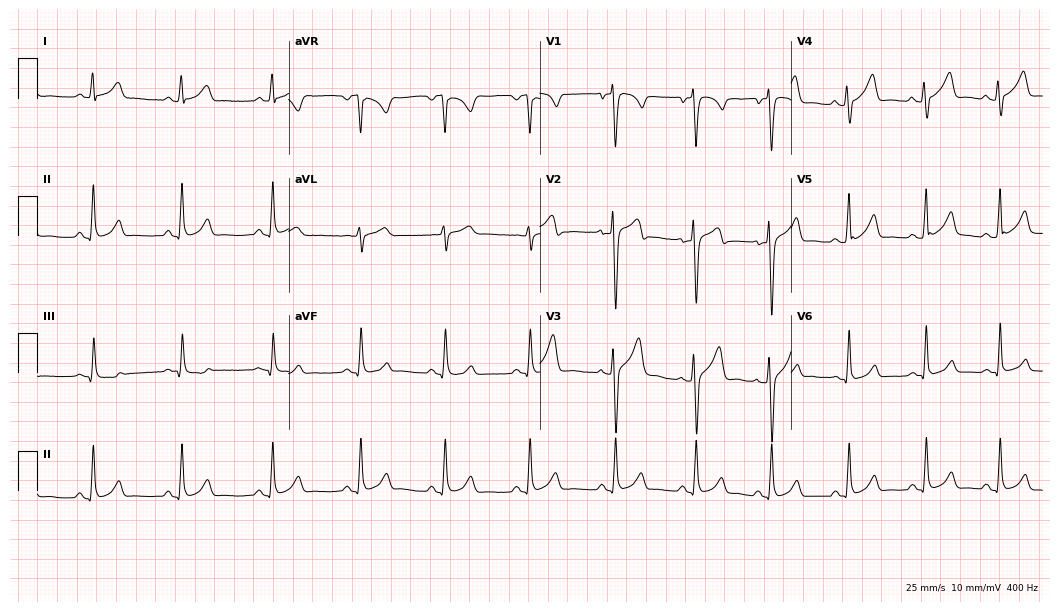
ECG — a male, 26 years old. Labelled as a normal ECG.